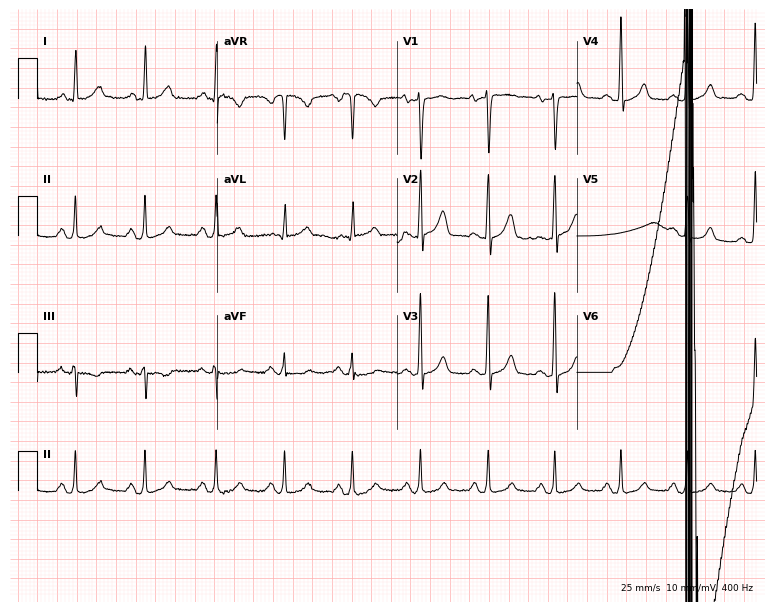
12-lead ECG from a woman, 35 years old. Screened for six findings — first-degree AV block, right bundle branch block (RBBB), left bundle branch block (LBBB), sinus bradycardia, atrial fibrillation (AF), sinus tachycardia — none is recorded.